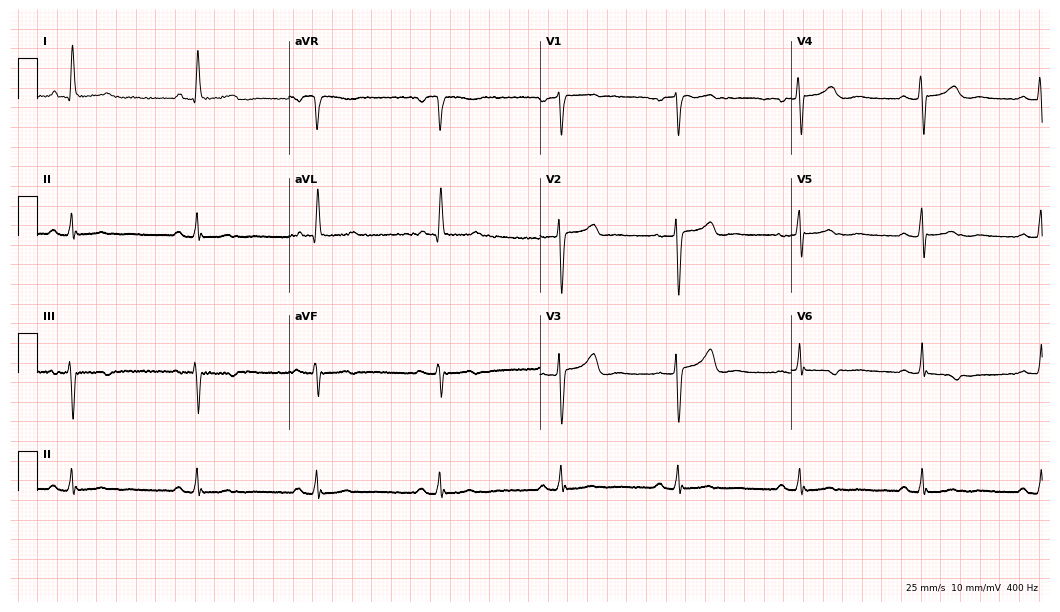
12-lead ECG from a 54-year-old female. Shows sinus bradycardia (a sinus rate of 50 beats per minute or less).